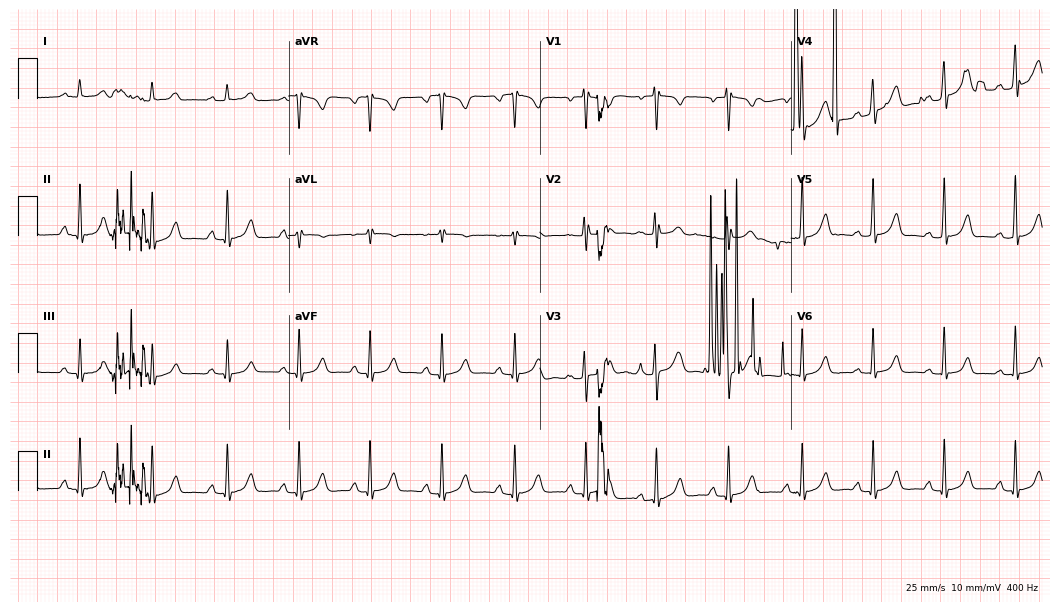
12-lead ECG from a 20-year-old female. No first-degree AV block, right bundle branch block, left bundle branch block, sinus bradycardia, atrial fibrillation or sinus tachycardia recorded for this tracing.